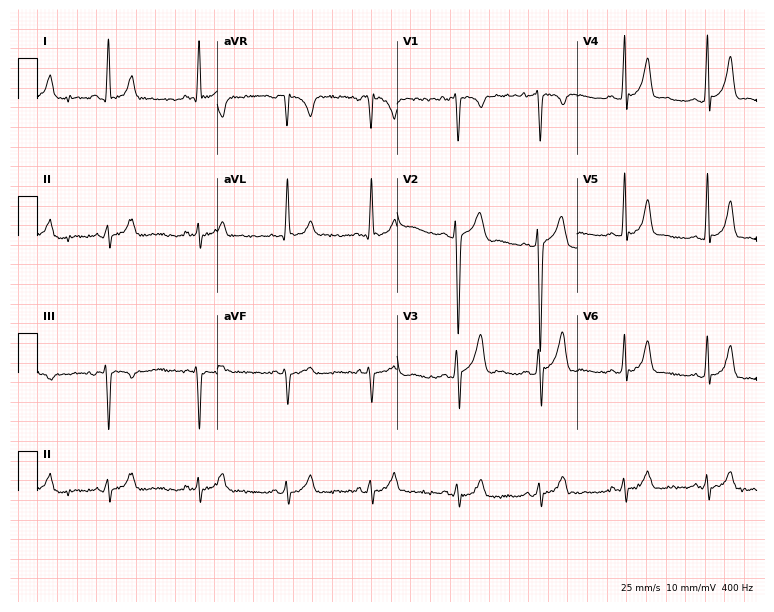
Electrocardiogram, a male, 24 years old. Of the six screened findings (first-degree AV block, right bundle branch block (RBBB), left bundle branch block (LBBB), sinus bradycardia, atrial fibrillation (AF), sinus tachycardia), none is recorded. Other findings, if any, are not listed.